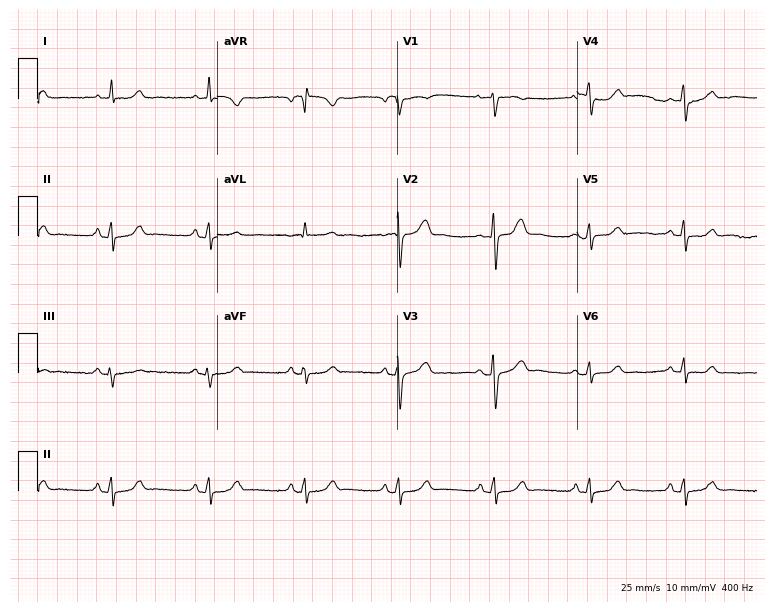
Standard 12-lead ECG recorded from a 52-year-old female (7.3-second recording at 400 Hz). Read as a normal ECG.